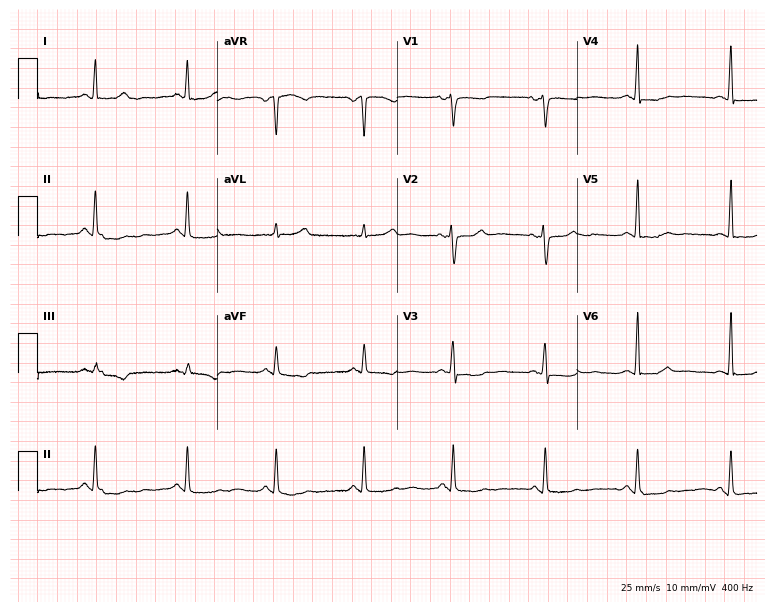
12-lead ECG from a 41-year-old female. No first-degree AV block, right bundle branch block (RBBB), left bundle branch block (LBBB), sinus bradycardia, atrial fibrillation (AF) or sinus tachycardia recorded for this tracing. Other findings, if any, are not listed.